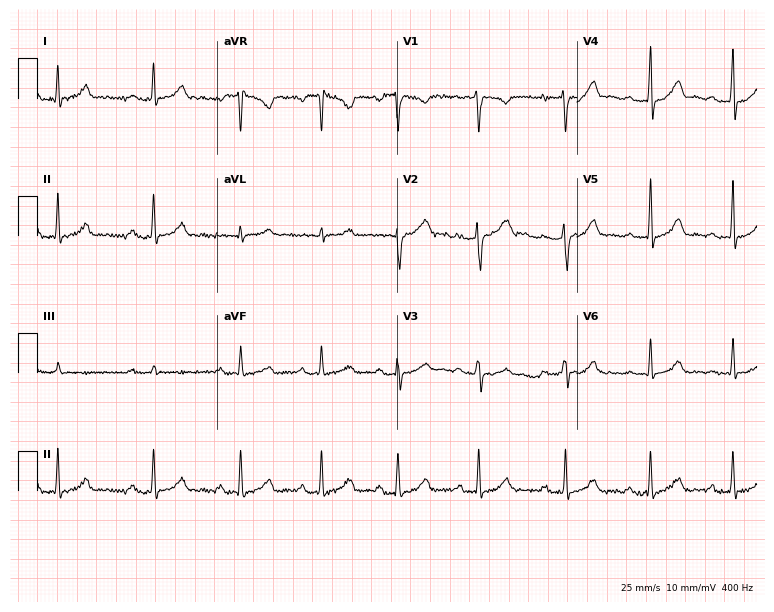
12-lead ECG from a female, 32 years old. Findings include first-degree AV block.